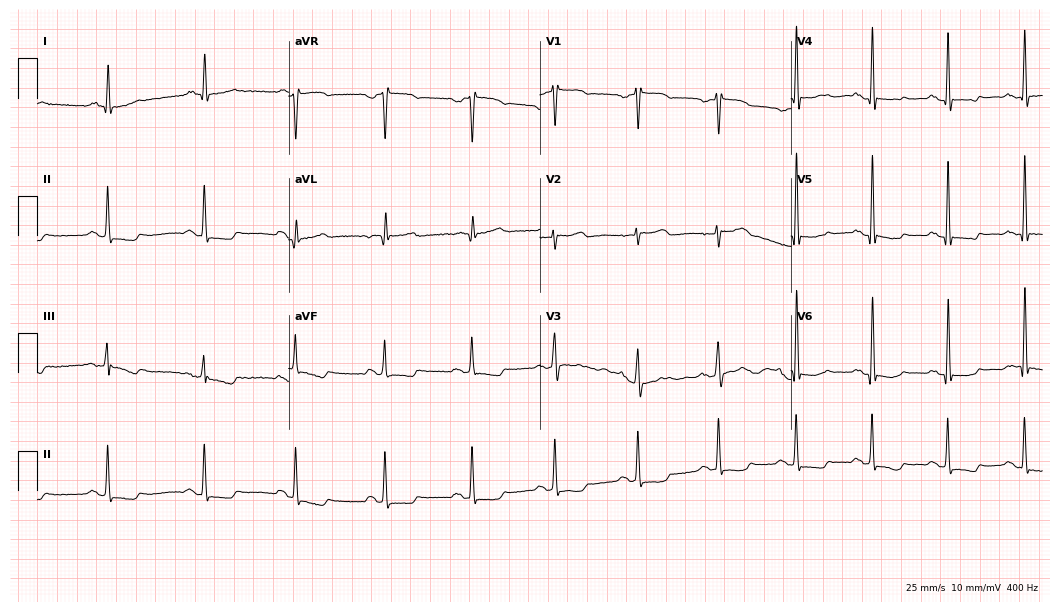
Electrocardiogram (10.2-second recording at 400 Hz), a 63-year-old female patient. Of the six screened findings (first-degree AV block, right bundle branch block, left bundle branch block, sinus bradycardia, atrial fibrillation, sinus tachycardia), none is recorded.